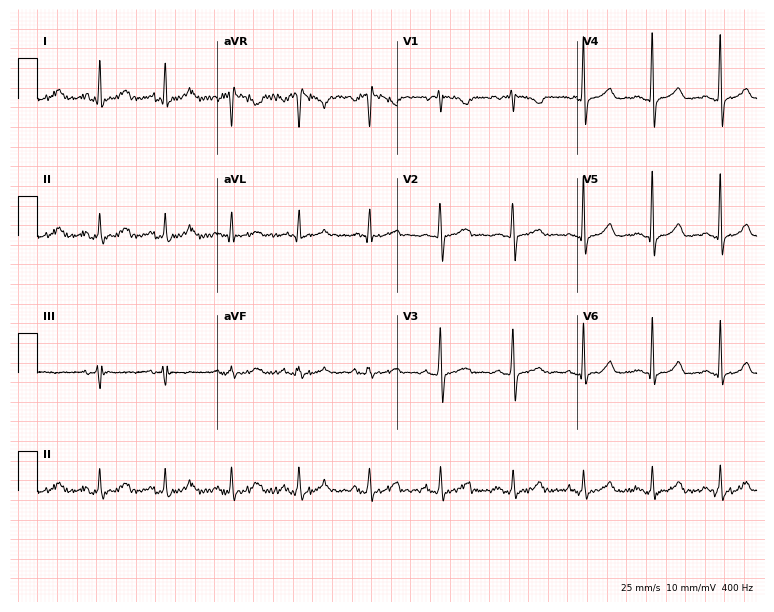
12-lead ECG from a 49-year-old female. Labelled as a normal ECG.